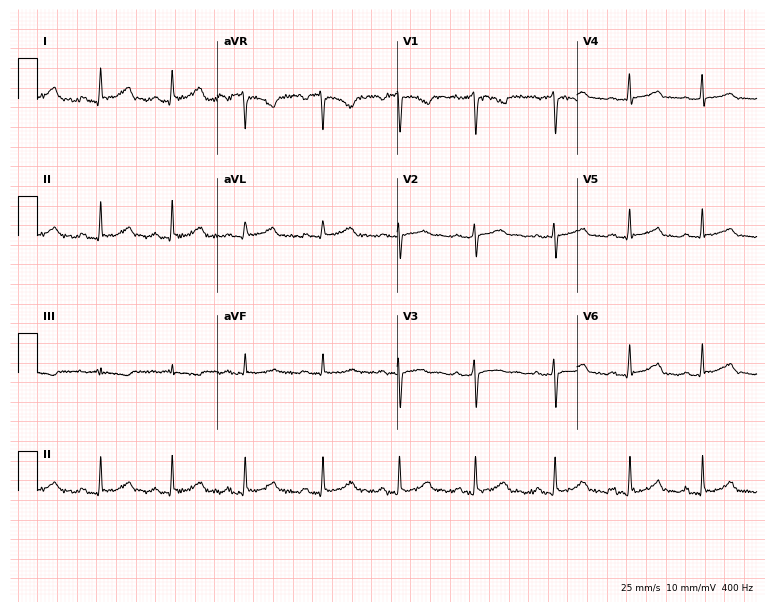
Electrocardiogram (7.3-second recording at 400 Hz), a female, 22 years old. Of the six screened findings (first-degree AV block, right bundle branch block, left bundle branch block, sinus bradycardia, atrial fibrillation, sinus tachycardia), none is recorded. Other findings, if any, are not listed.